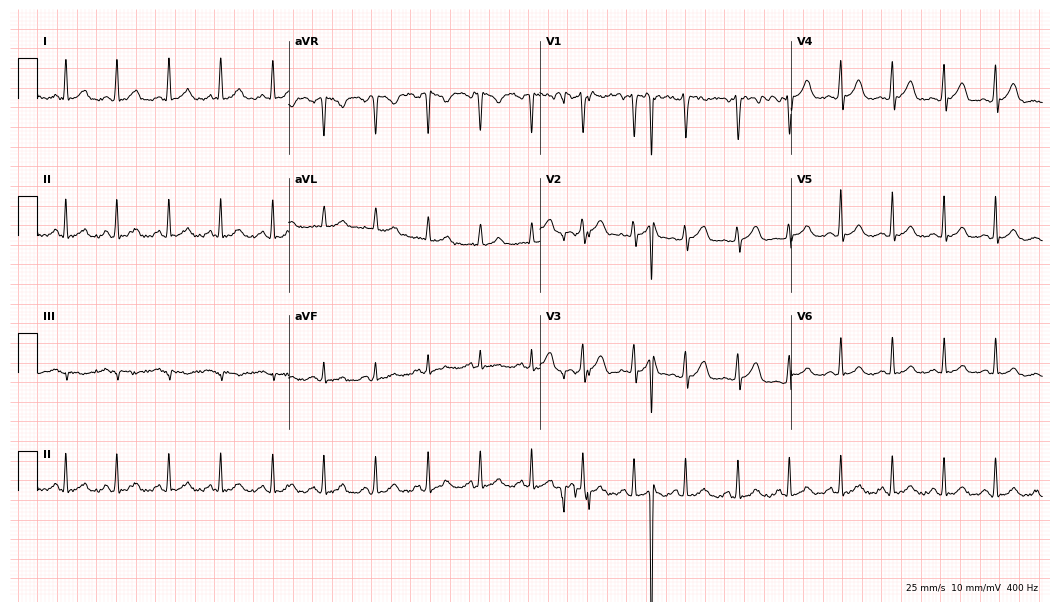
Resting 12-lead electrocardiogram (10.2-second recording at 400 Hz). Patient: a 31-year-old man. The tracing shows sinus tachycardia (a sinus rate of 100 beats per minute or more).